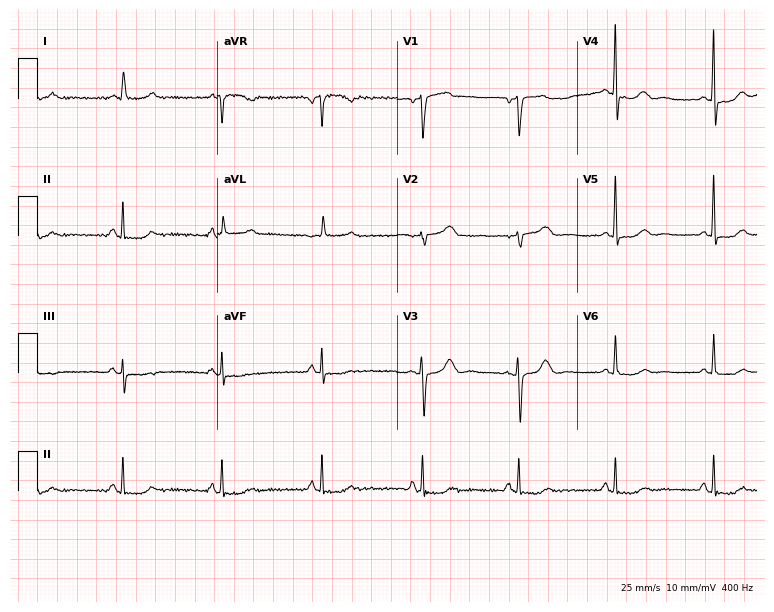
12-lead ECG from a female patient, 71 years old. Screened for six findings — first-degree AV block, right bundle branch block (RBBB), left bundle branch block (LBBB), sinus bradycardia, atrial fibrillation (AF), sinus tachycardia — none is recorded. Other findings, if any, are not listed.